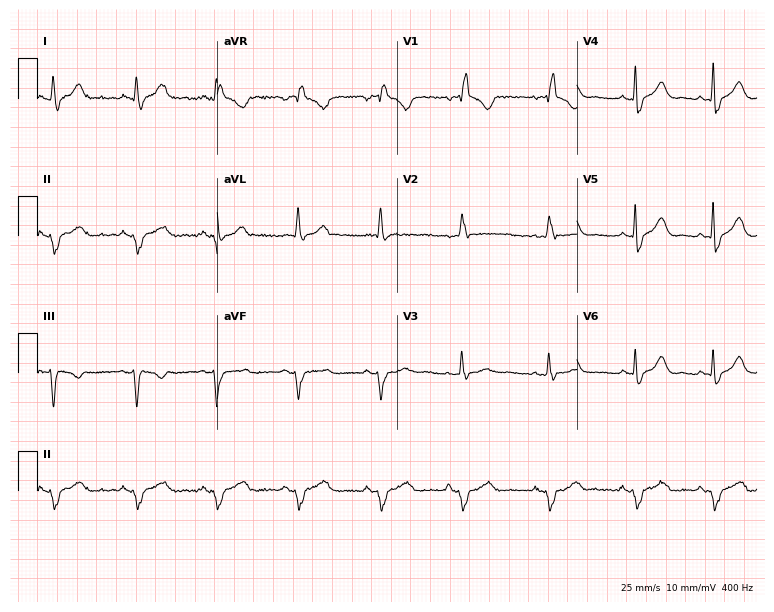
Electrocardiogram, a 48-year-old female. Interpretation includes right bundle branch block (RBBB).